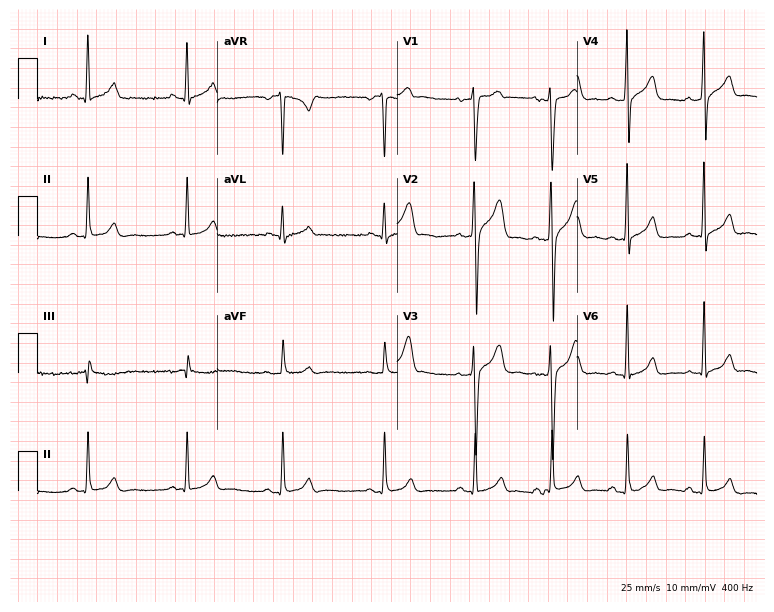
12-lead ECG (7.3-second recording at 400 Hz) from a 23-year-old male. Labelled as a normal ECG.